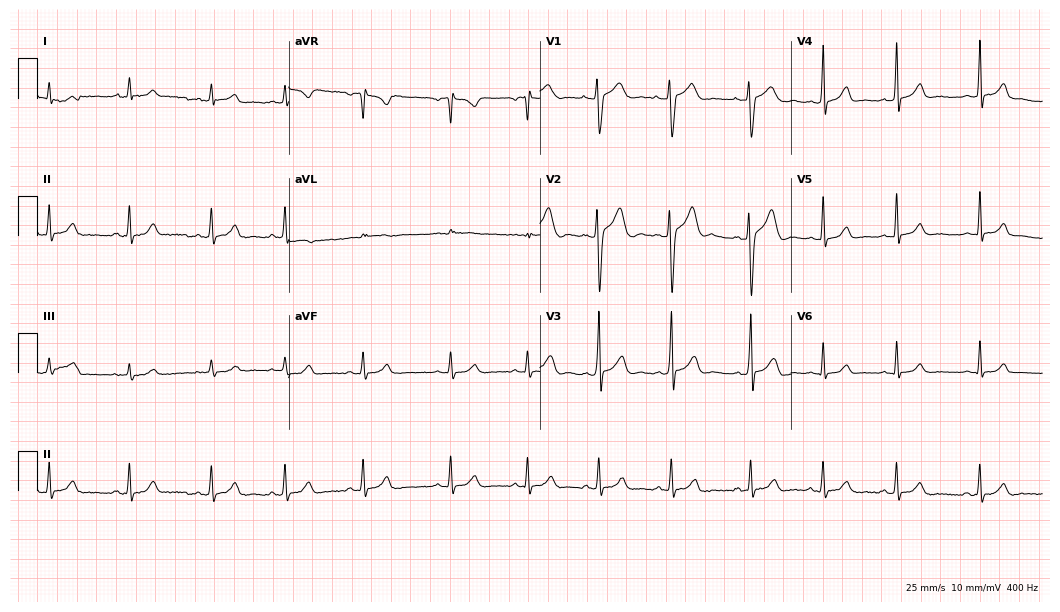
Standard 12-lead ECG recorded from an 18-year-old male patient. Read as a normal ECG.